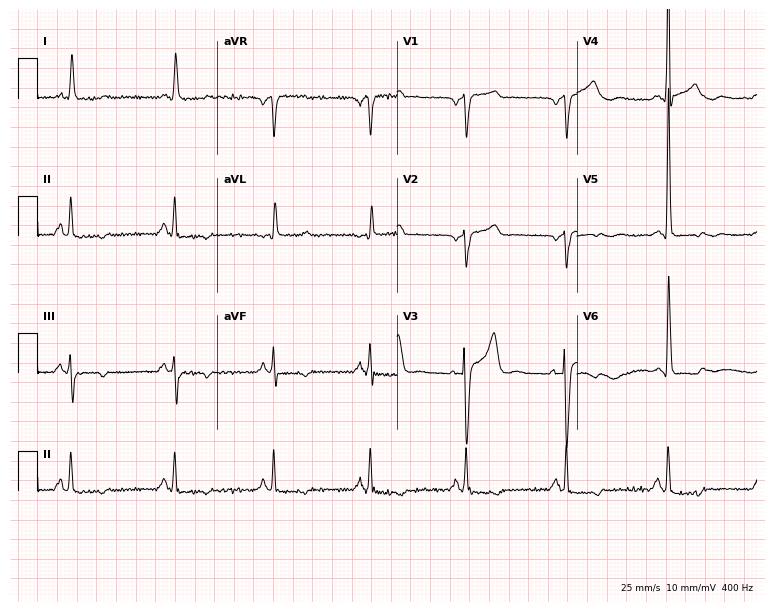
12-lead ECG (7.3-second recording at 400 Hz) from a 72-year-old male. Screened for six findings — first-degree AV block, right bundle branch block (RBBB), left bundle branch block (LBBB), sinus bradycardia, atrial fibrillation (AF), sinus tachycardia — none is recorded.